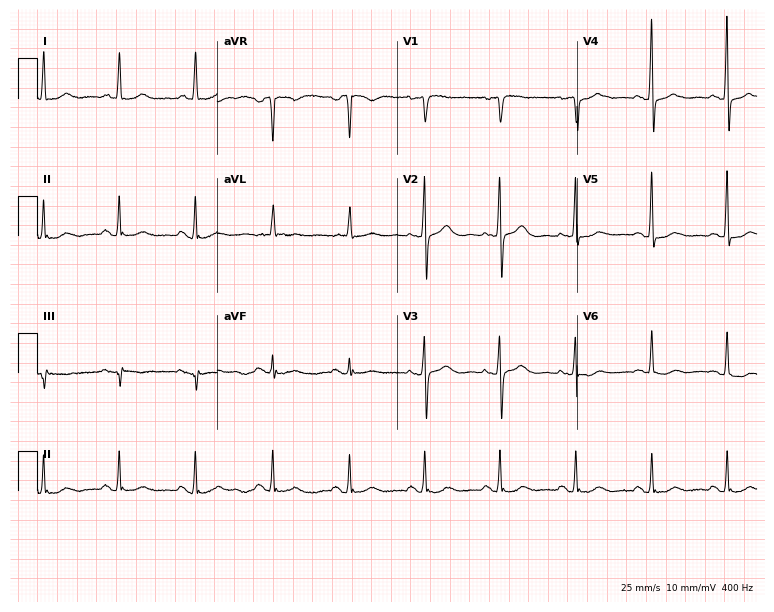
12-lead ECG from a 60-year-old female. Labelled as a normal ECG.